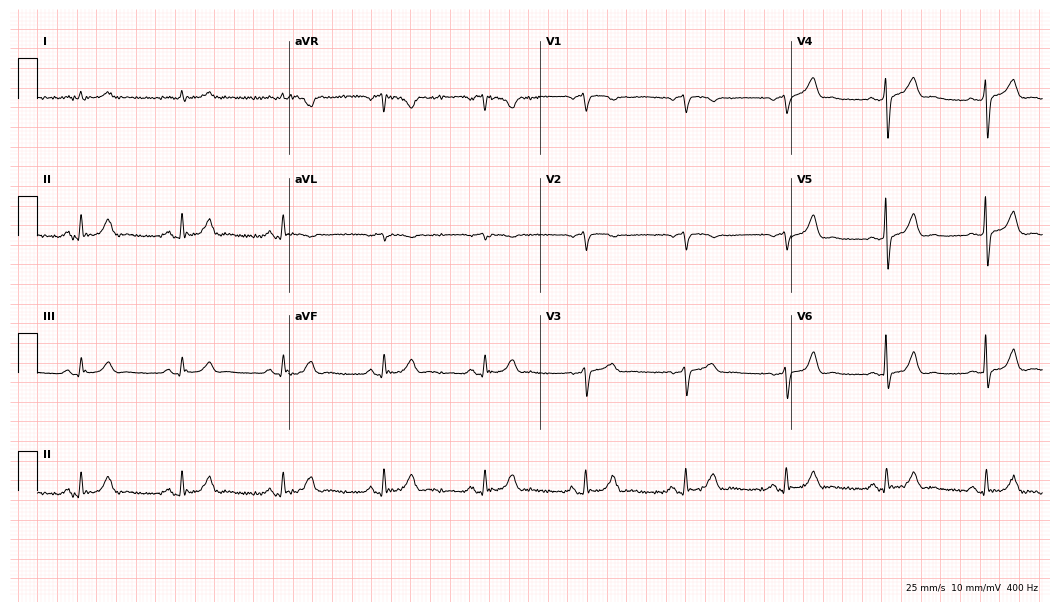
Electrocardiogram (10.2-second recording at 400 Hz), a male, 78 years old. Of the six screened findings (first-degree AV block, right bundle branch block, left bundle branch block, sinus bradycardia, atrial fibrillation, sinus tachycardia), none is recorded. Findings outside these six are not listed.